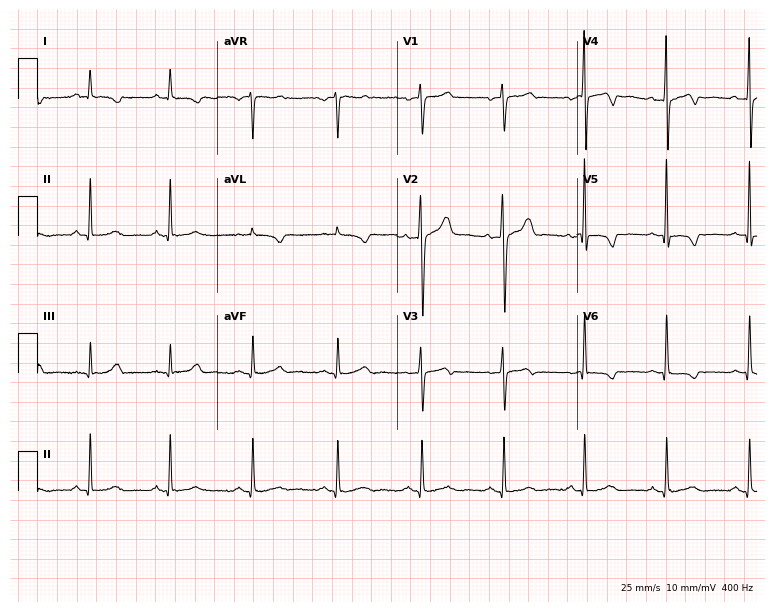
Resting 12-lead electrocardiogram. Patient: a 63-year-old woman. None of these six findings is recorded: first-degree AV block, right bundle branch block, left bundle branch block, sinus bradycardia, atrial fibrillation, sinus tachycardia. Only these six findings were labelled.